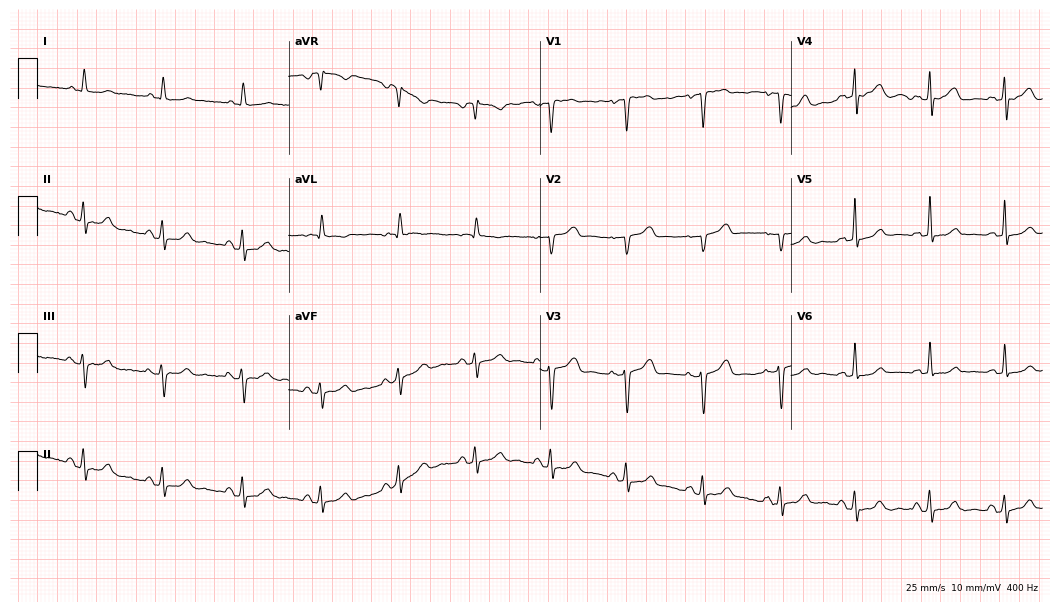
Standard 12-lead ECG recorded from a woman, 65 years old (10.2-second recording at 400 Hz). None of these six findings is recorded: first-degree AV block, right bundle branch block, left bundle branch block, sinus bradycardia, atrial fibrillation, sinus tachycardia.